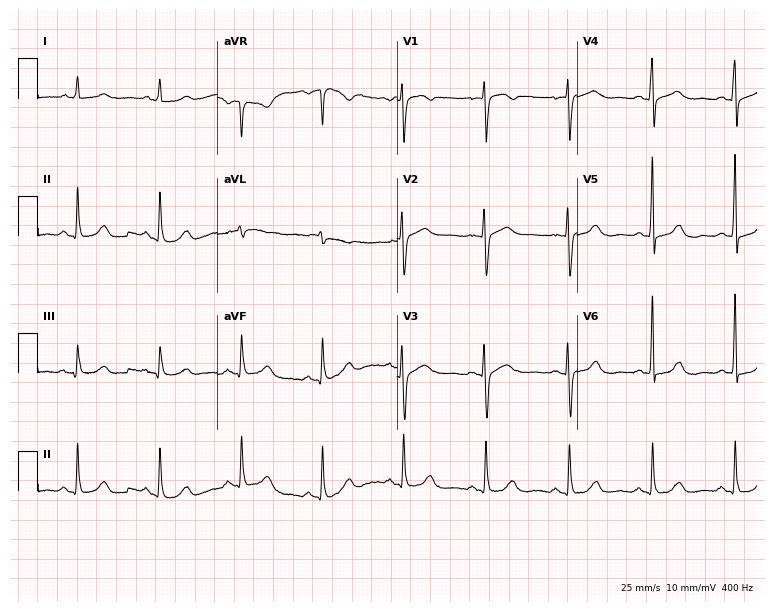
Resting 12-lead electrocardiogram. Patient: a 62-year-old woman. Read as a normal ECG.